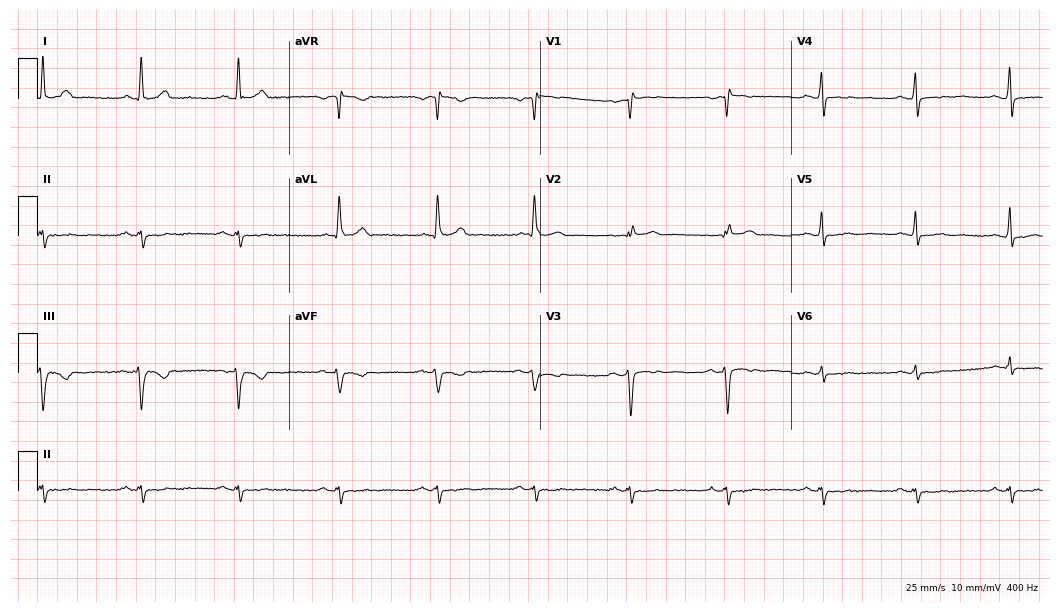
Electrocardiogram (10.2-second recording at 400 Hz), a male, 52 years old. Of the six screened findings (first-degree AV block, right bundle branch block, left bundle branch block, sinus bradycardia, atrial fibrillation, sinus tachycardia), none is recorded. Findings outside these six are not listed.